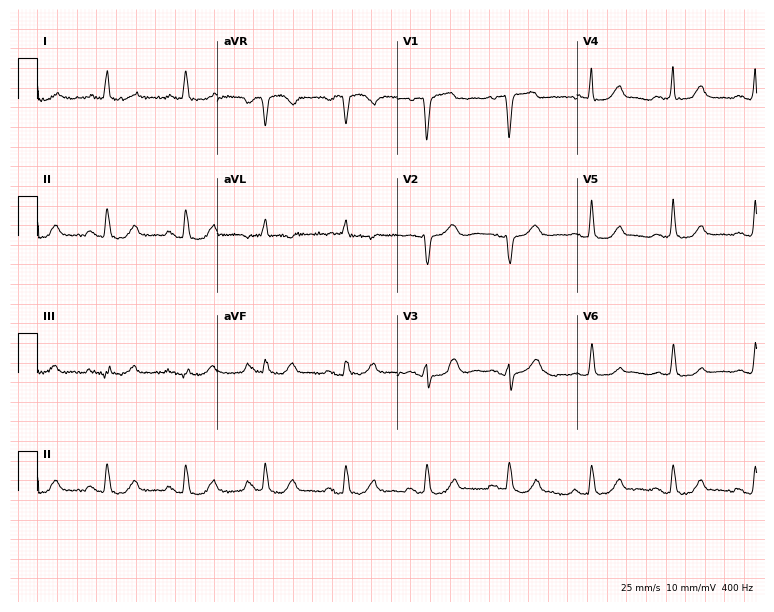
Resting 12-lead electrocardiogram. Patient: an 85-year-old female. Read as a normal ECG.